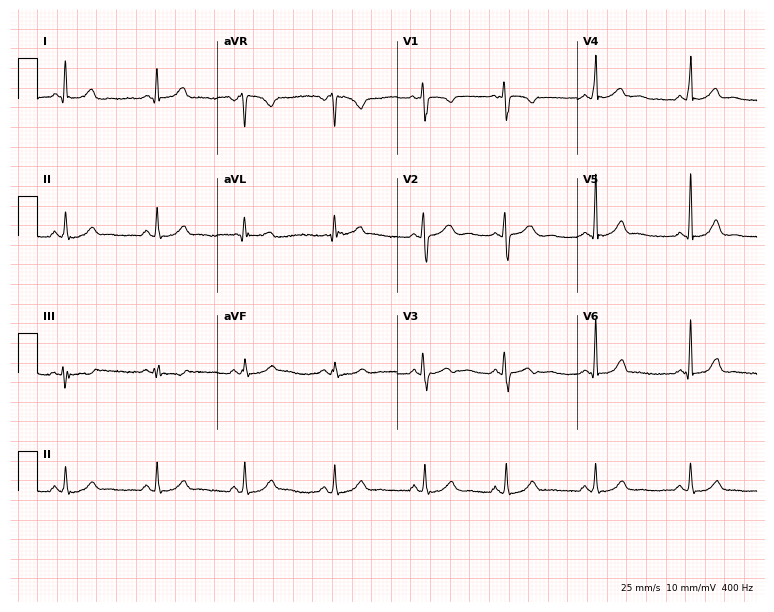
ECG — a 29-year-old female patient. Labelled as a normal ECG.